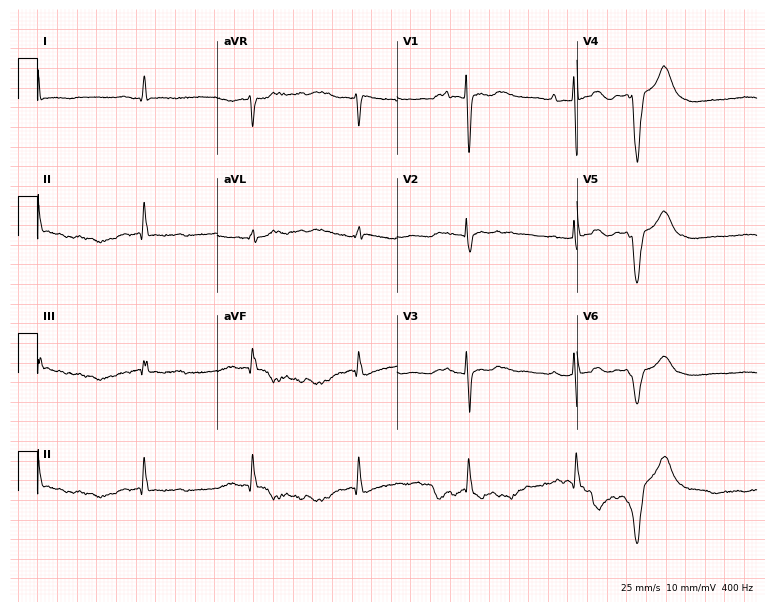
Standard 12-lead ECG recorded from a 57-year-old female patient. The tracing shows first-degree AV block.